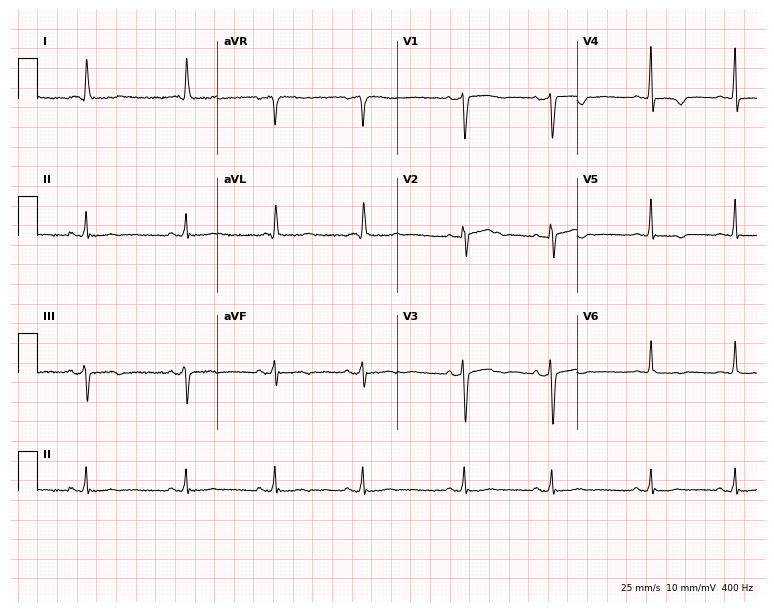
Resting 12-lead electrocardiogram. Patient: a 75-year-old female. None of these six findings is recorded: first-degree AV block, right bundle branch block, left bundle branch block, sinus bradycardia, atrial fibrillation, sinus tachycardia. Findings outside these six are not listed.